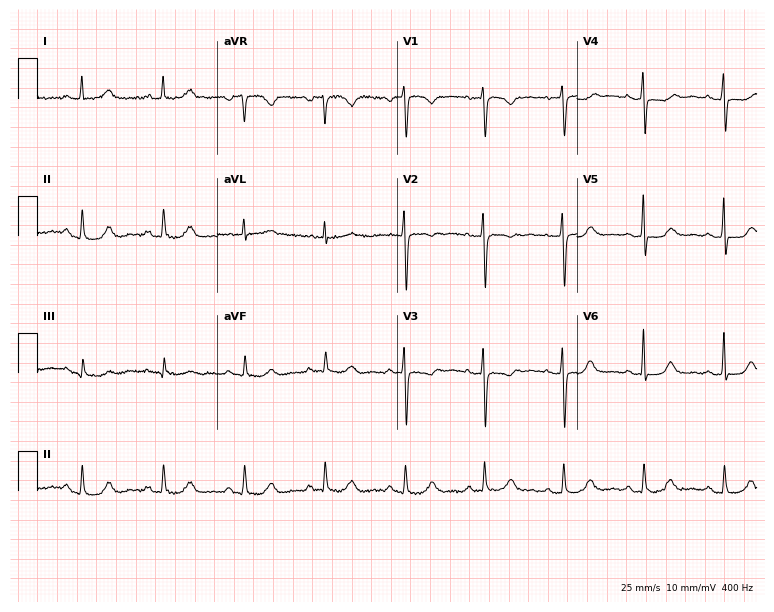
Resting 12-lead electrocardiogram (7.3-second recording at 400 Hz). Patient: a 69-year-old female. None of these six findings is recorded: first-degree AV block, right bundle branch block, left bundle branch block, sinus bradycardia, atrial fibrillation, sinus tachycardia.